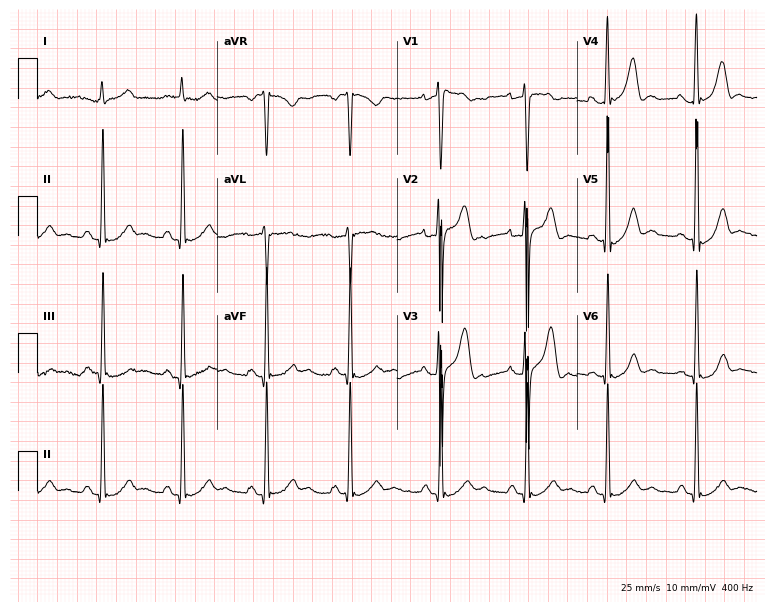
Standard 12-lead ECG recorded from a male, 26 years old. Read as a normal ECG.